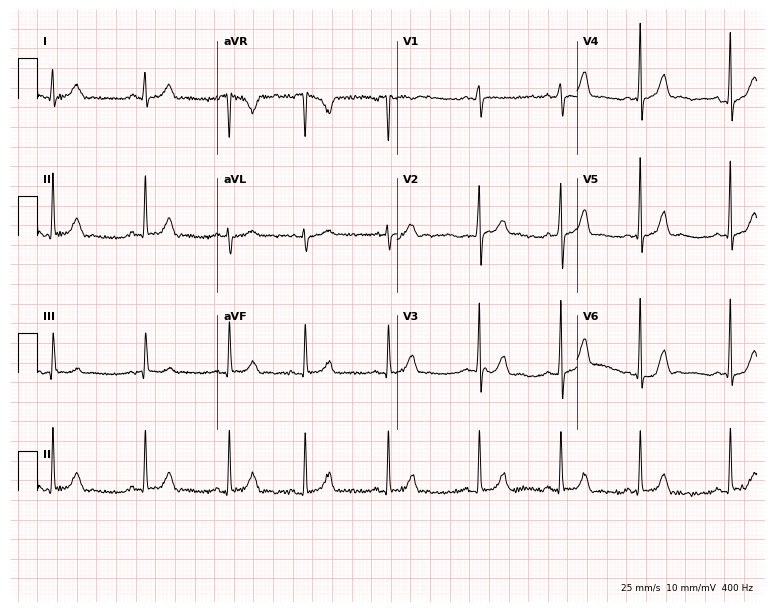
Standard 12-lead ECG recorded from a female, 21 years old. Read as a normal ECG.